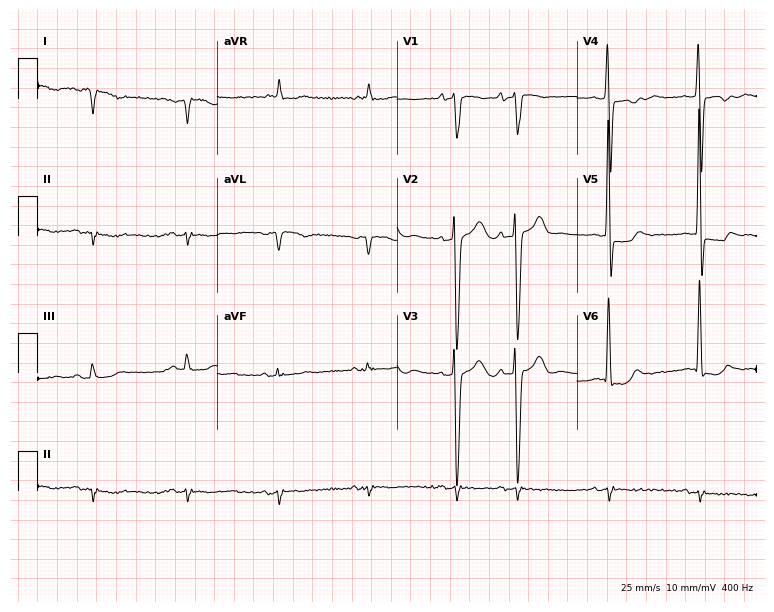
12-lead ECG from an 80-year-old male patient (7.3-second recording at 400 Hz). No first-degree AV block, right bundle branch block, left bundle branch block, sinus bradycardia, atrial fibrillation or sinus tachycardia recorded for this tracing. Other findings, if any, are not listed.